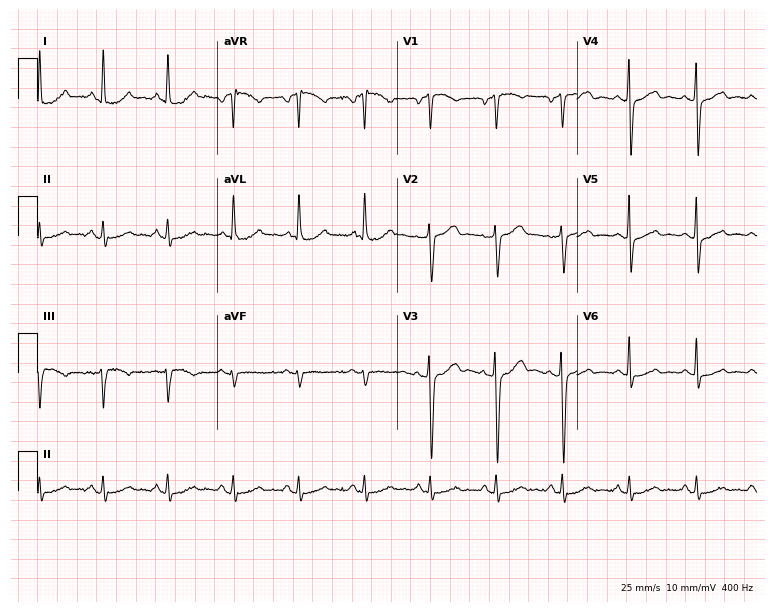
12-lead ECG from a 68-year-old woman. No first-degree AV block, right bundle branch block, left bundle branch block, sinus bradycardia, atrial fibrillation or sinus tachycardia recorded for this tracing.